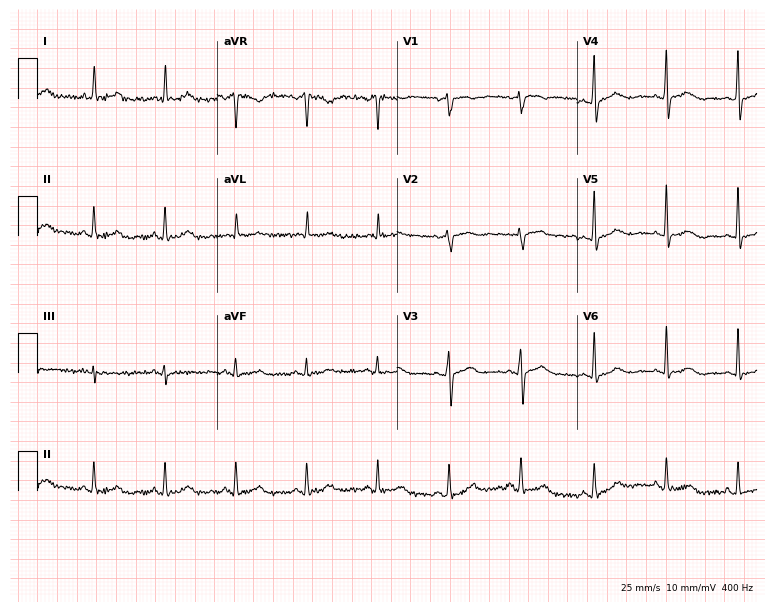
Standard 12-lead ECG recorded from a female patient, 62 years old. Read as a normal ECG.